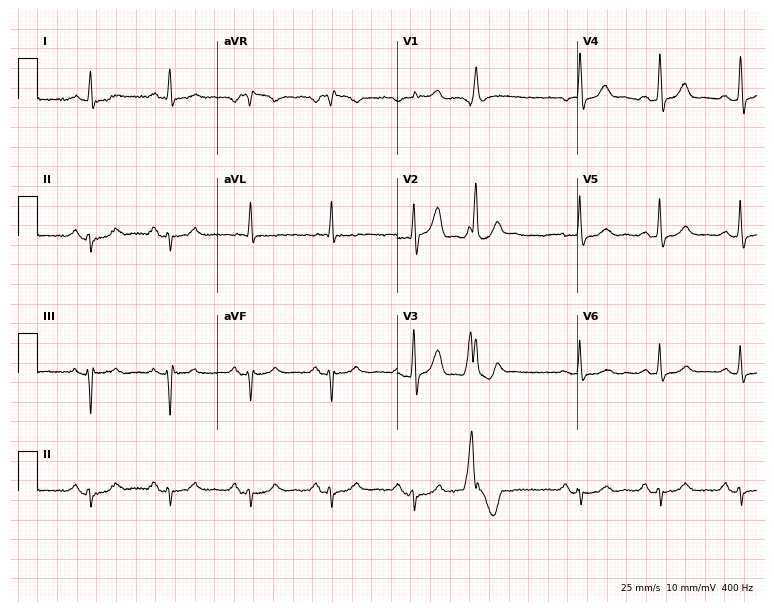
12-lead ECG from a man, 73 years old. Screened for six findings — first-degree AV block, right bundle branch block (RBBB), left bundle branch block (LBBB), sinus bradycardia, atrial fibrillation (AF), sinus tachycardia — none is recorded.